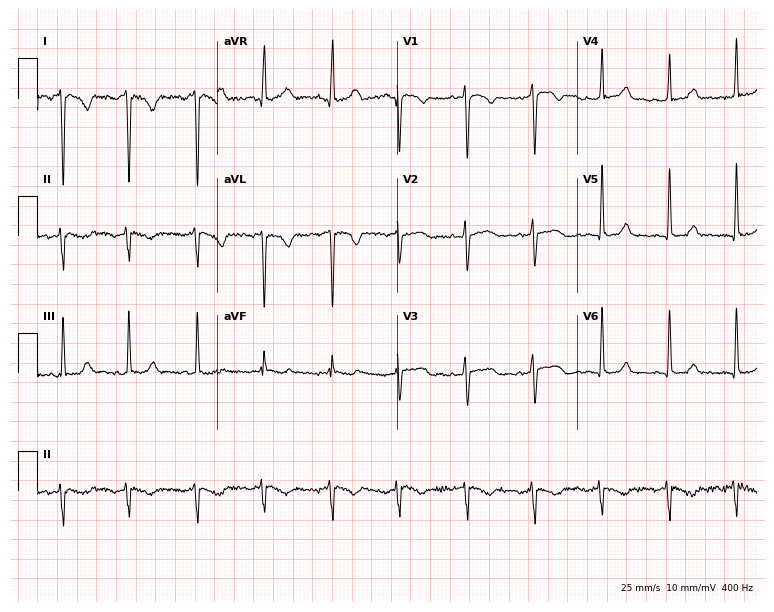
Electrocardiogram (7.3-second recording at 400 Hz), a woman, 35 years old. Of the six screened findings (first-degree AV block, right bundle branch block (RBBB), left bundle branch block (LBBB), sinus bradycardia, atrial fibrillation (AF), sinus tachycardia), none is recorded. Other findings, if any, are not listed.